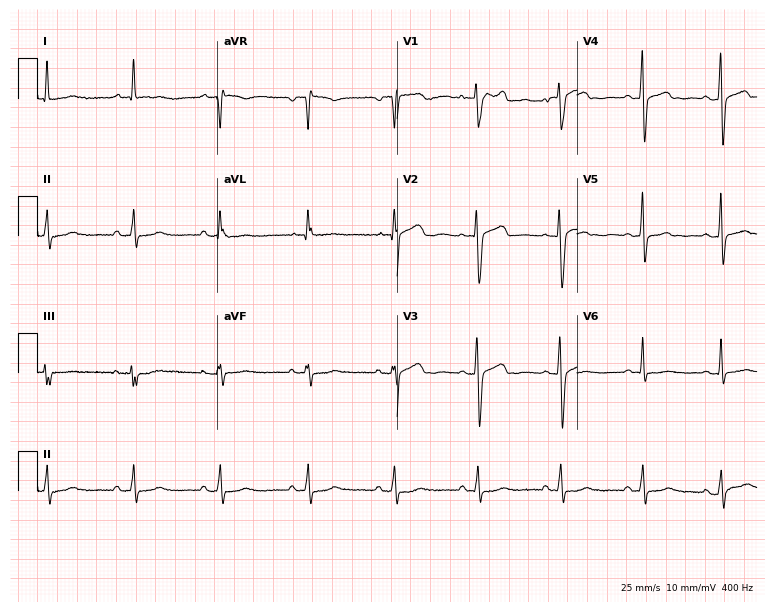
12-lead ECG (7.3-second recording at 400 Hz) from a female, 52 years old. Screened for six findings — first-degree AV block, right bundle branch block (RBBB), left bundle branch block (LBBB), sinus bradycardia, atrial fibrillation (AF), sinus tachycardia — none is recorded.